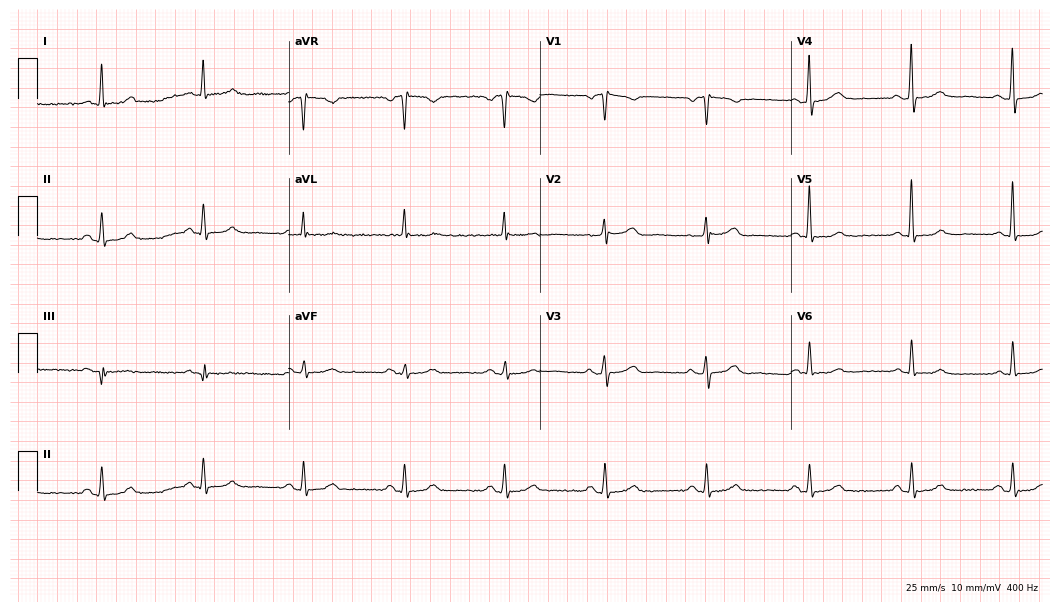
Electrocardiogram (10.2-second recording at 400 Hz), a 59-year-old male. Of the six screened findings (first-degree AV block, right bundle branch block (RBBB), left bundle branch block (LBBB), sinus bradycardia, atrial fibrillation (AF), sinus tachycardia), none is recorded.